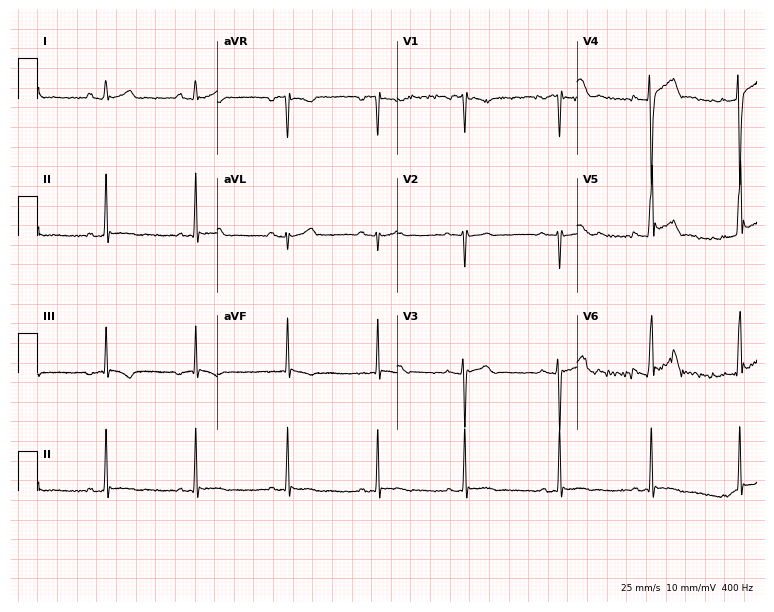
ECG — a 25-year-old man. Screened for six findings — first-degree AV block, right bundle branch block (RBBB), left bundle branch block (LBBB), sinus bradycardia, atrial fibrillation (AF), sinus tachycardia — none is recorded. Only these six findings were labelled.